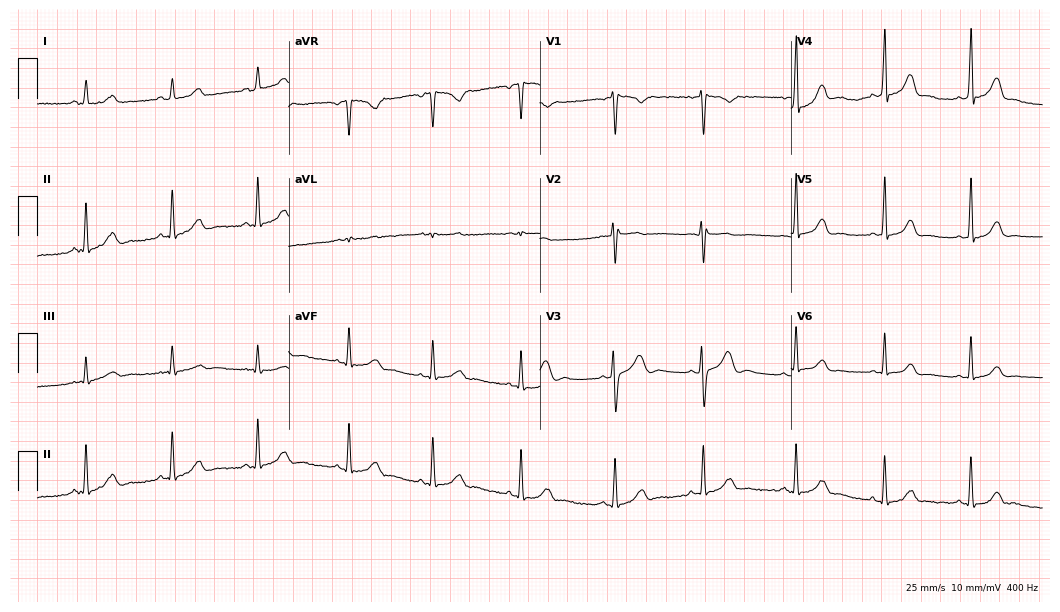
12-lead ECG from a 29-year-old female. Recorded interpretation: within normal limits.